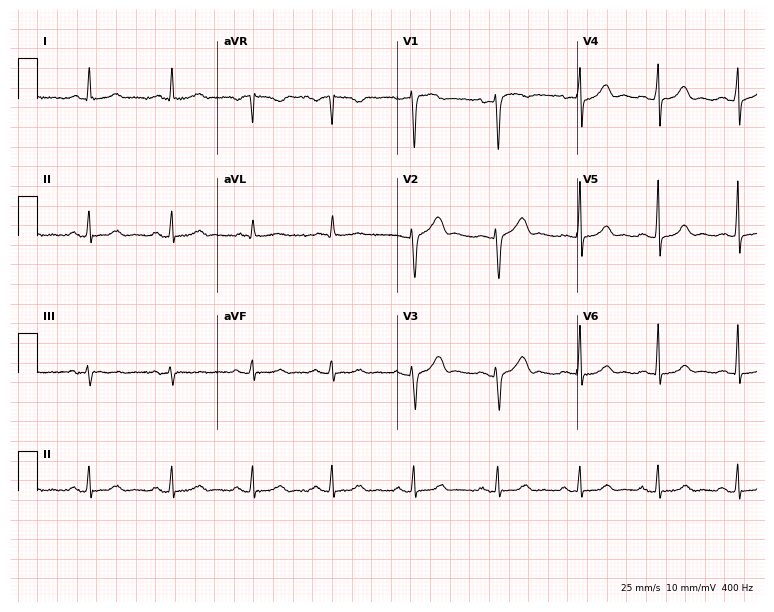
Standard 12-lead ECG recorded from a 49-year-old woman (7.3-second recording at 400 Hz). Read as a normal ECG.